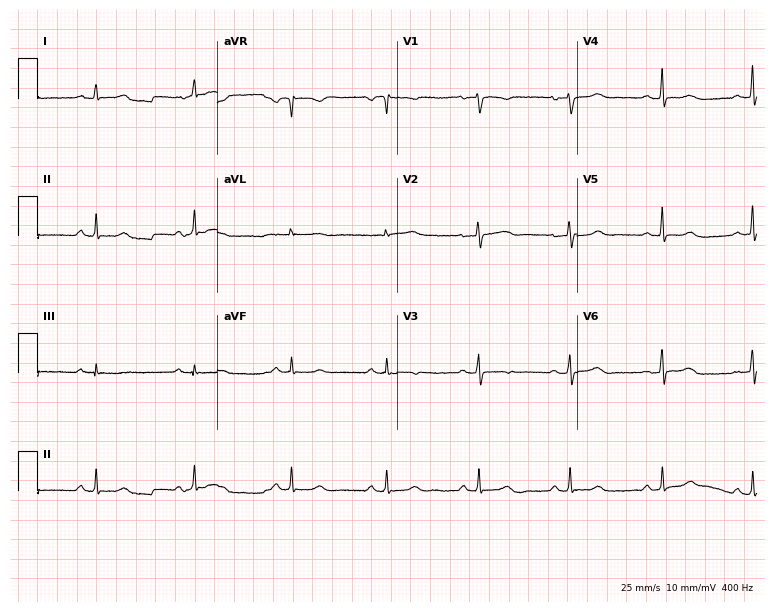
ECG (7.3-second recording at 400 Hz) — a female, 50 years old. Labelled as a normal ECG.